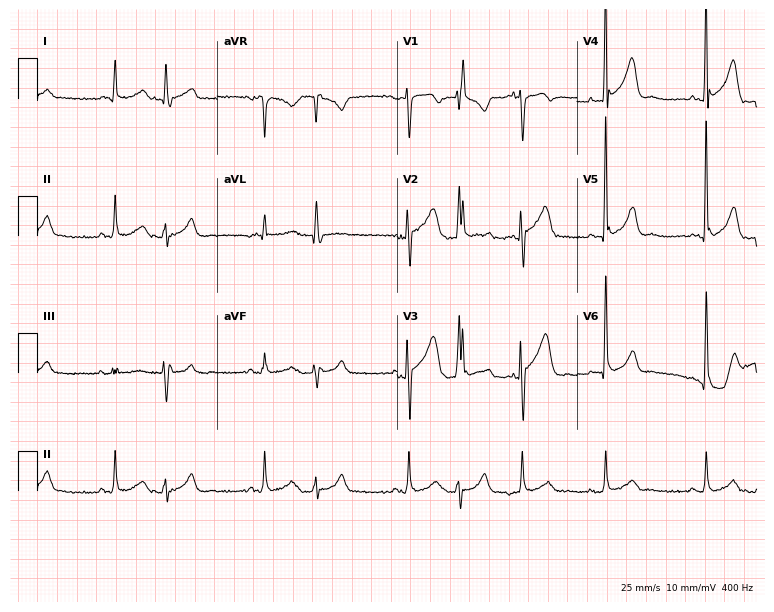
Electrocardiogram, a man, 74 years old. Of the six screened findings (first-degree AV block, right bundle branch block, left bundle branch block, sinus bradycardia, atrial fibrillation, sinus tachycardia), none is recorded.